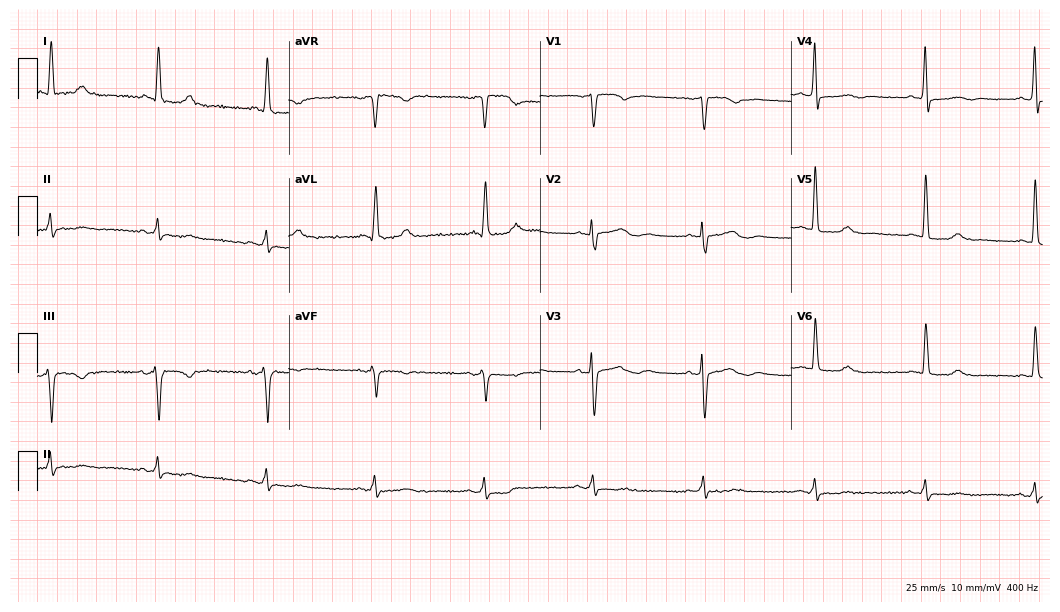
12-lead ECG (10.2-second recording at 400 Hz) from a female patient, 73 years old. Screened for six findings — first-degree AV block, right bundle branch block, left bundle branch block, sinus bradycardia, atrial fibrillation, sinus tachycardia — none is recorded.